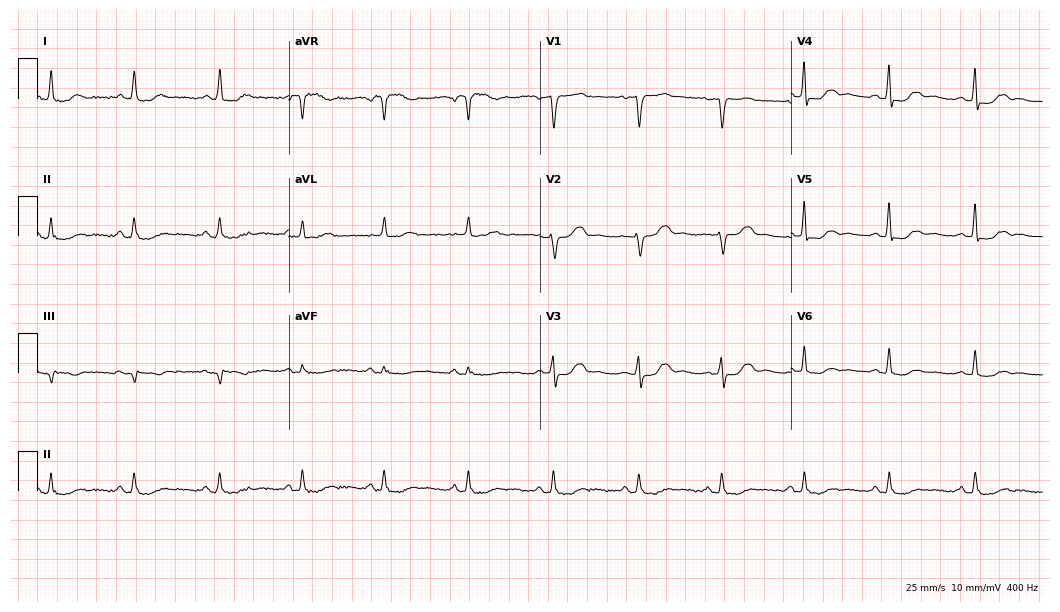
12-lead ECG from a female, 71 years old (10.2-second recording at 400 Hz). No first-degree AV block, right bundle branch block (RBBB), left bundle branch block (LBBB), sinus bradycardia, atrial fibrillation (AF) or sinus tachycardia recorded for this tracing.